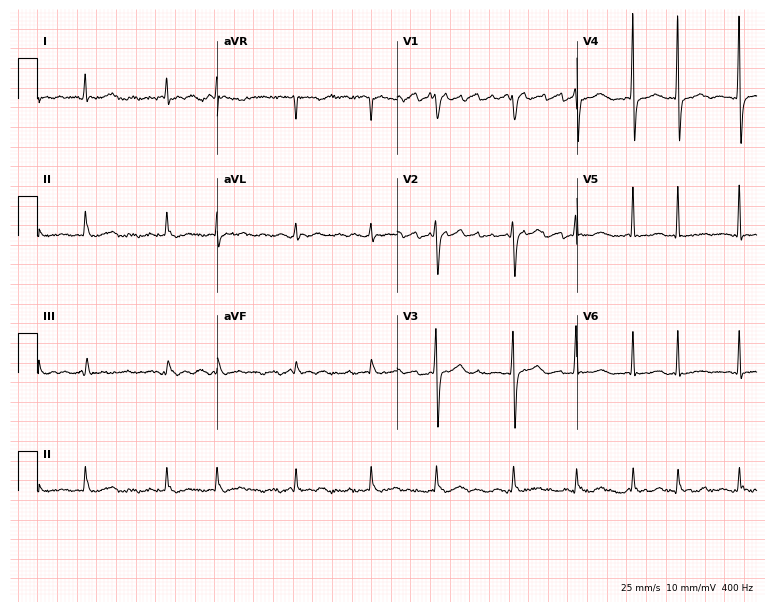
12-lead ECG from a female, 64 years old. Findings include atrial fibrillation.